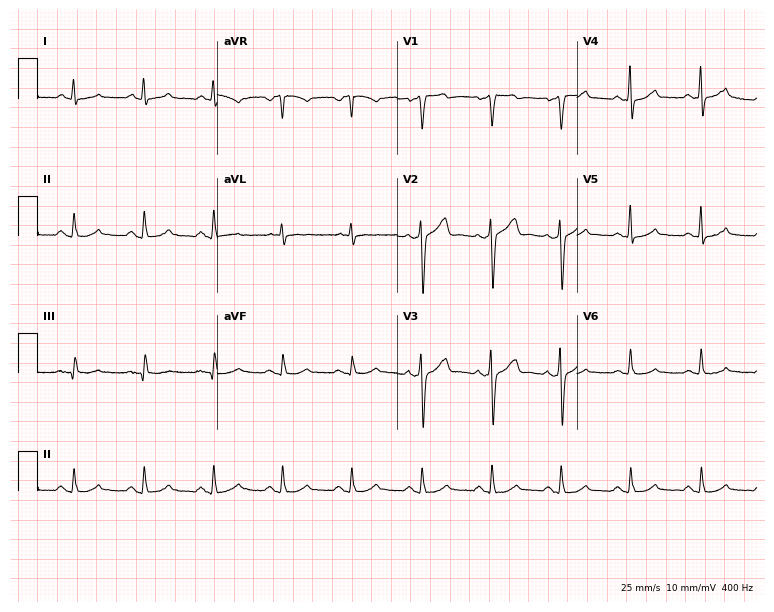
Standard 12-lead ECG recorded from a man, 71 years old (7.3-second recording at 400 Hz). Read as a normal ECG.